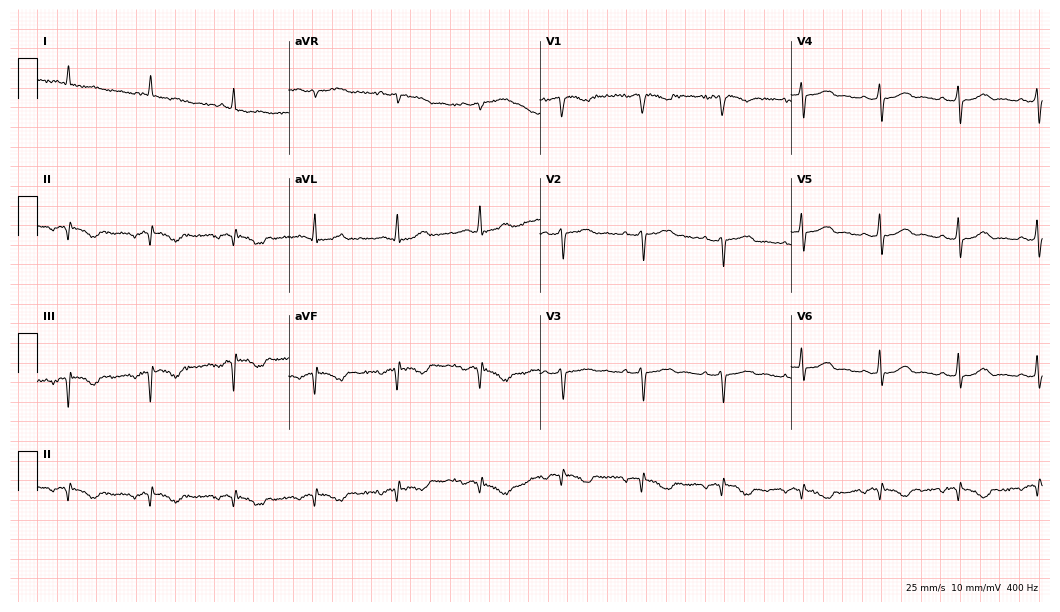
Standard 12-lead ECG recorded from a female, 62 years old (10.2-second recording at 400 Hz). None of these six findings is recorded: first-degree AV block, right bundle branch block (RBBB), left bundle branch block (LBBB), sinus bradycardia, atrial fibrillation (AF), sinus tachycardia. Findings outside these six are not listed.